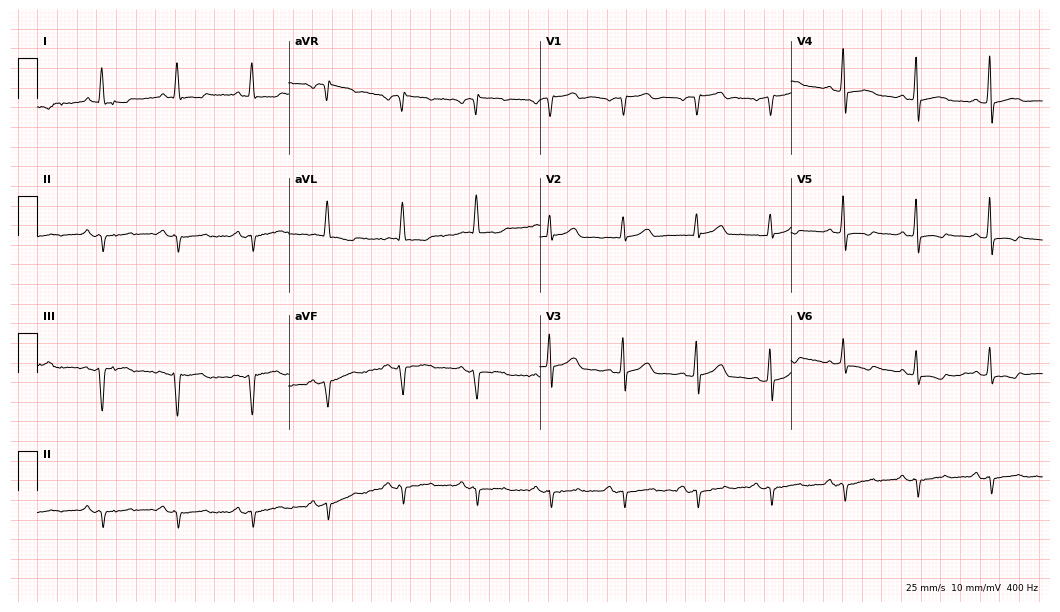
Resting 12-lead electrocardiogram (10.2-second recording at 400 Hz). Patient: a 68-year-old male. None of these six findings is recorded: first-degree AV block, right bundle branch block (RBBB), left bundle branch block (LBBB), sinus bradycardia, atrial fibrillation (AF), sinus tachycardia.